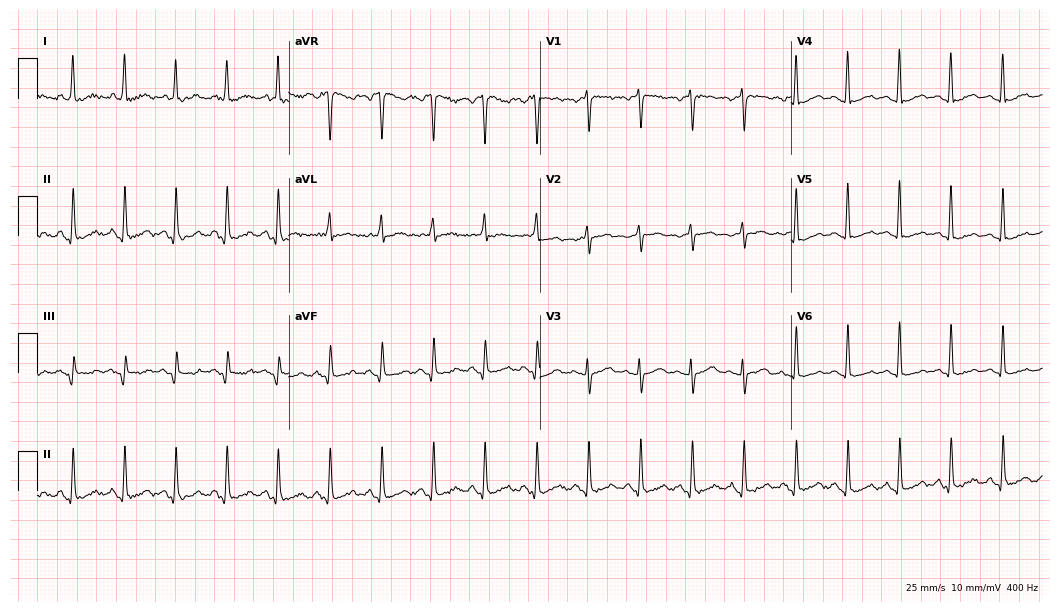
Standard 12-lead ECG recorded from a female, 50 years old. The tracing shows sinus tachycardia (a sinus rate of 100 beats per minute or more).